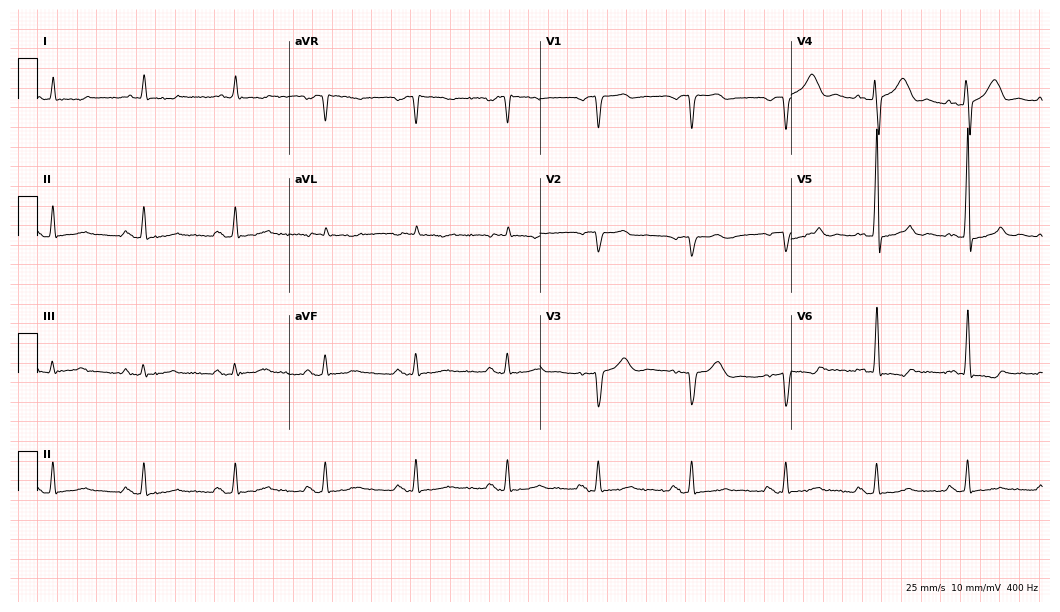
12-lead ECG from a male, 64 years old. Screened for six findings — first-degree AV block, right bundle branch block, left bundle branch block, sinus bradycardia, atrial fibrillation, sinus tachycardia — none is recorded. Findings outside these six are not listed.